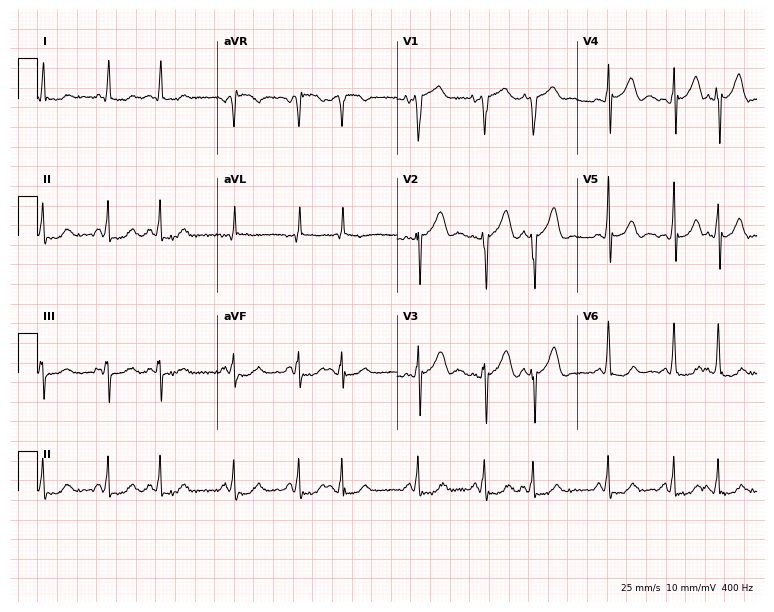
12-lead ECG from a male, 67 years old. Labelled as a normal ECG.